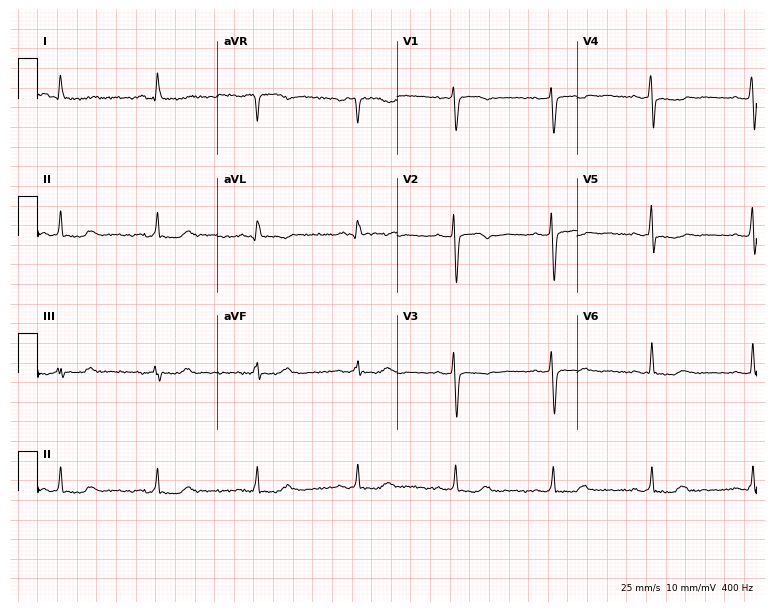
12-lead ECG (7.3-second recording at 400 Hz) from a woman, 56 years old. Screened for six findings — first-degree AV block, right bundle branch block, left bundle branch block, sinus bradycardia, atrial fibrillation, sinus tachycardia — none is recorded. Other findings, if any, are not listed.